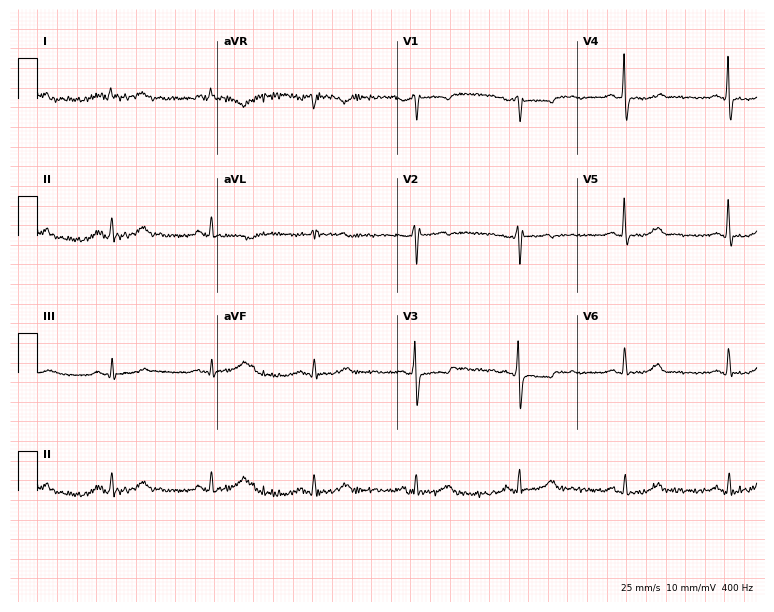
12-lead ECG from a 62-year-old female. No first-degree AV block, right bundle branch block, left bundle branch block, sinus bradycardia, atrial fibrillation or sinus tachycardia recorded for this tracing.